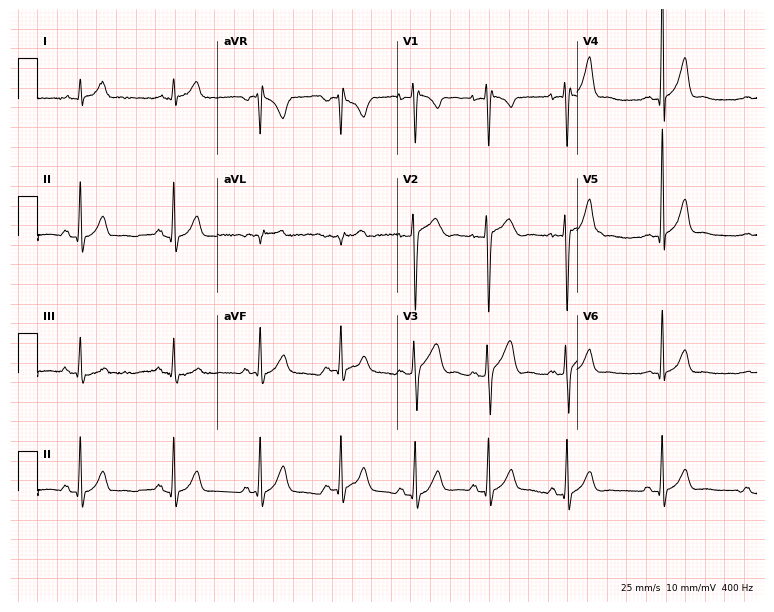
ECG — a male, 20 years old. Labelled as a normal ECG.